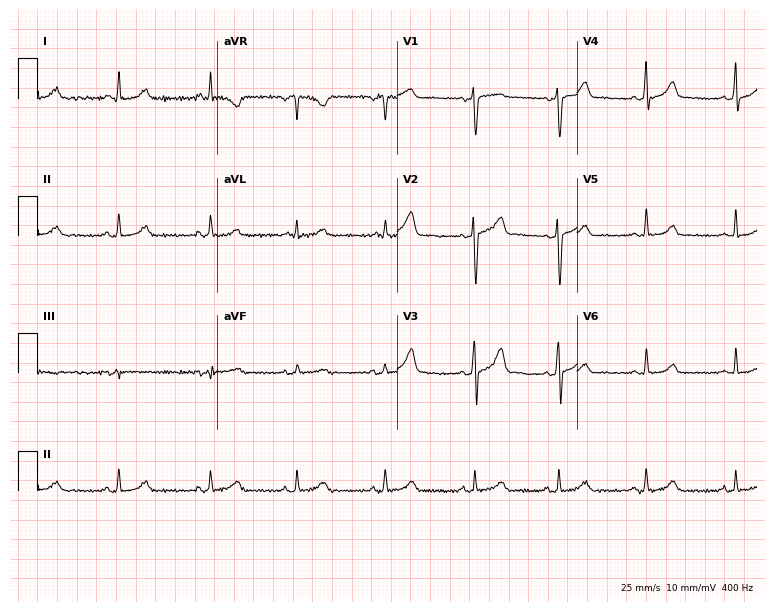
Resting 12-lead electrocardiogram. Patient: a male, 38 years old. Read as a normal ECG.